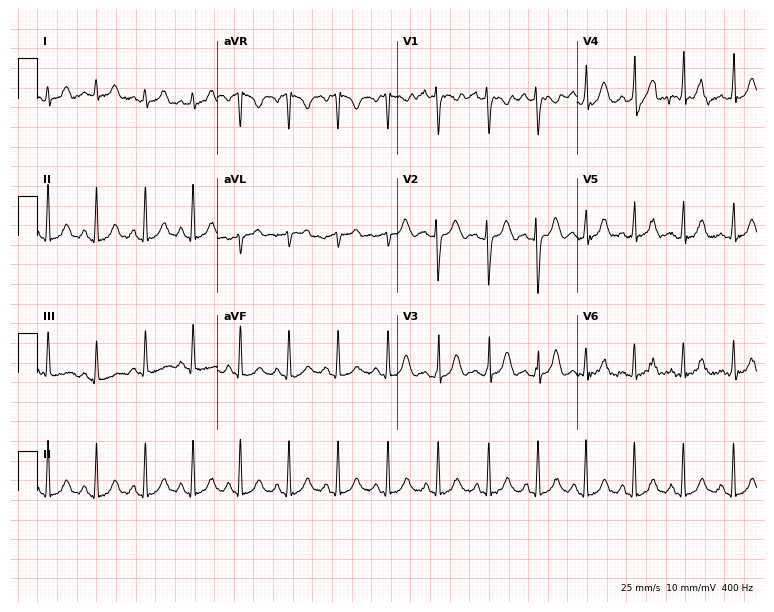
Standard 12-lead ECG recorded from a woman, 18 years old. The tracing shows sinus tachycardia (a sinus rate of 100 beats per minute or more).